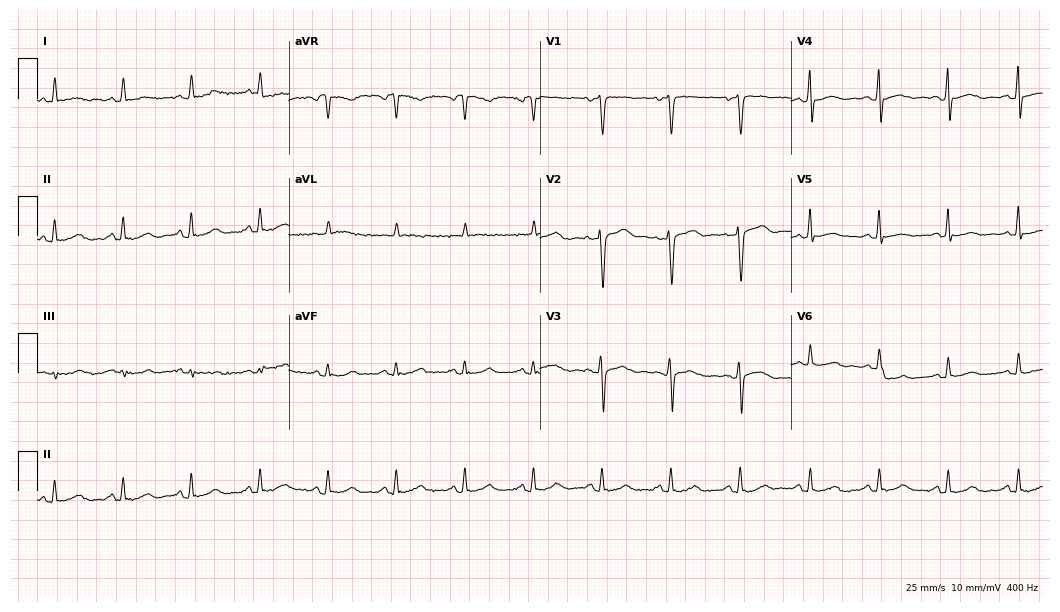
12-lead ECG from a woman, 65 years old. No first-degree AV block, right bundle branch block (RBBB), left bundle branch block (LBBB), sinus bradycardia, atrial fibrillation (AF) or sinus tachycardia recorded for this tracing.